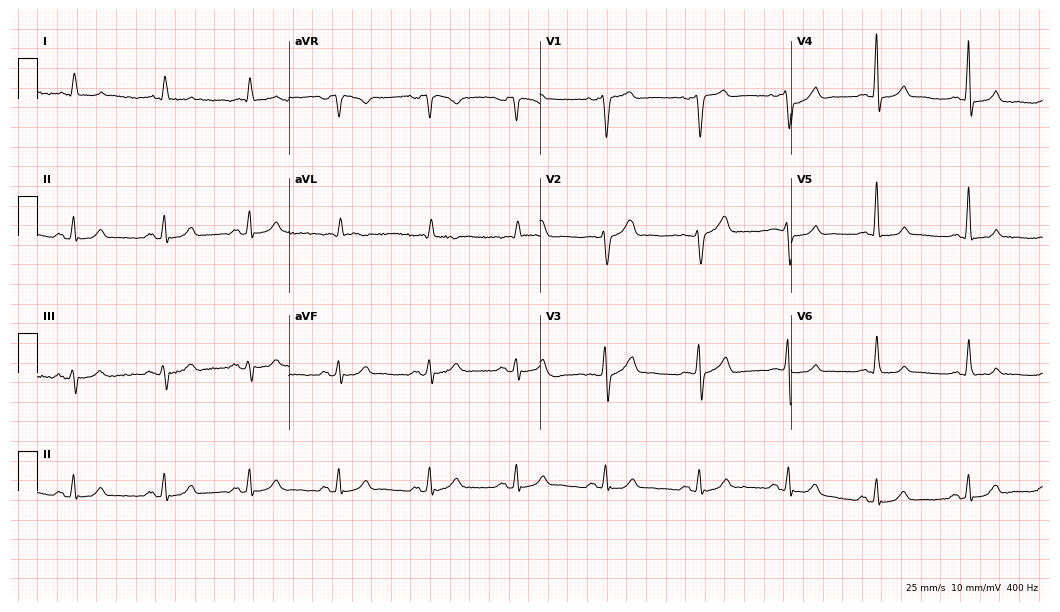
Electrocardiogram, a 53-year-old male. Overall reading on record: normal ECG.